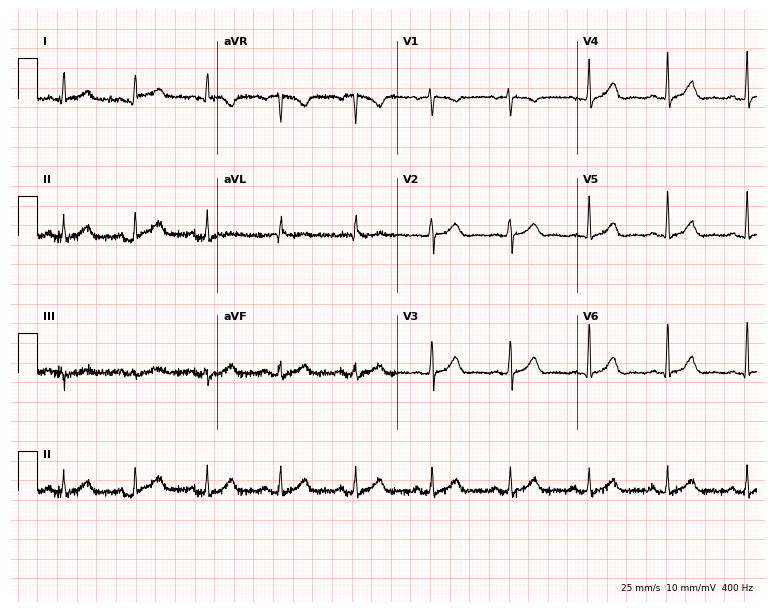
12-lead ECG from a 63-year-old female patient. Labelled as a normal ECG.